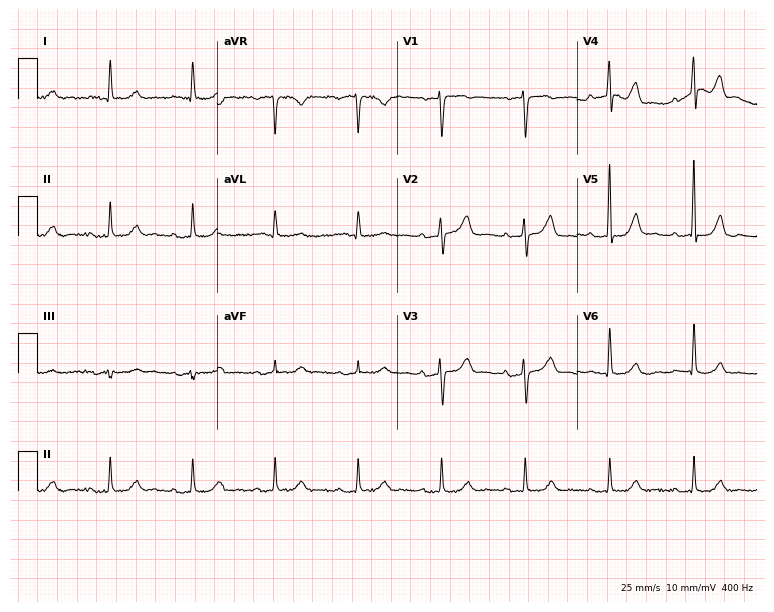
Electrocardiogram, an 84-year-old male. Overall reading on record: normal ECG.